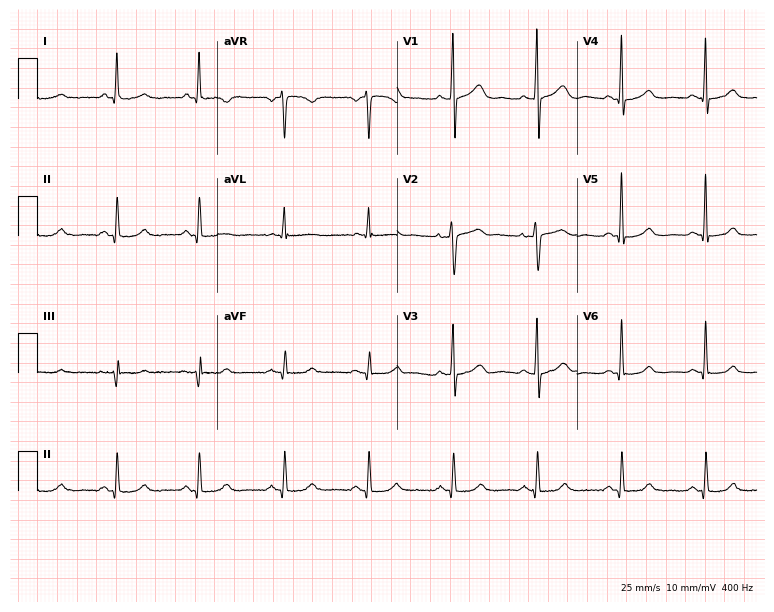
Electrocardiogram, a female patient, 51 years old. Of the six screened findings (first-degree AV block, right bundle branch block, left bundle branch block, sinus bradycardia, atrial fibrillation, sinus tachycardia), none is recorded. Findings outside these six are not listed.